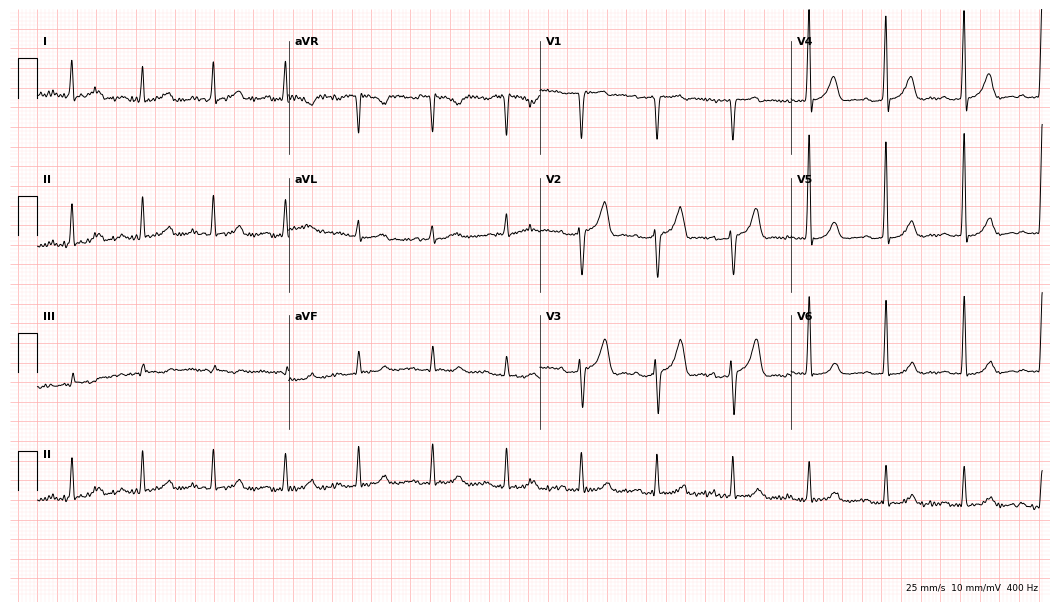
12-lead ECG from a 63-year-old male (10.2-second recording at 400 Hz). Recorded interpretation: within normal limits.